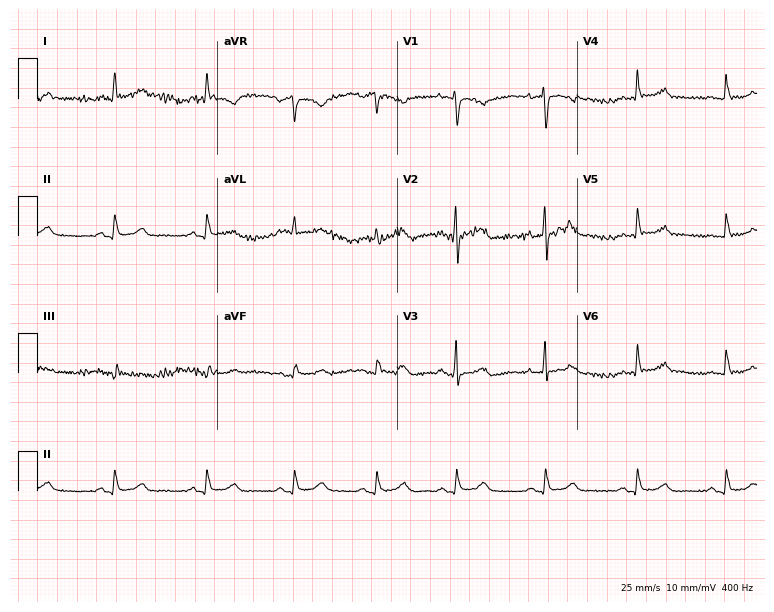
Electrocardiogram, a woman, 43 years old. Overall reading on record: normal ECG.